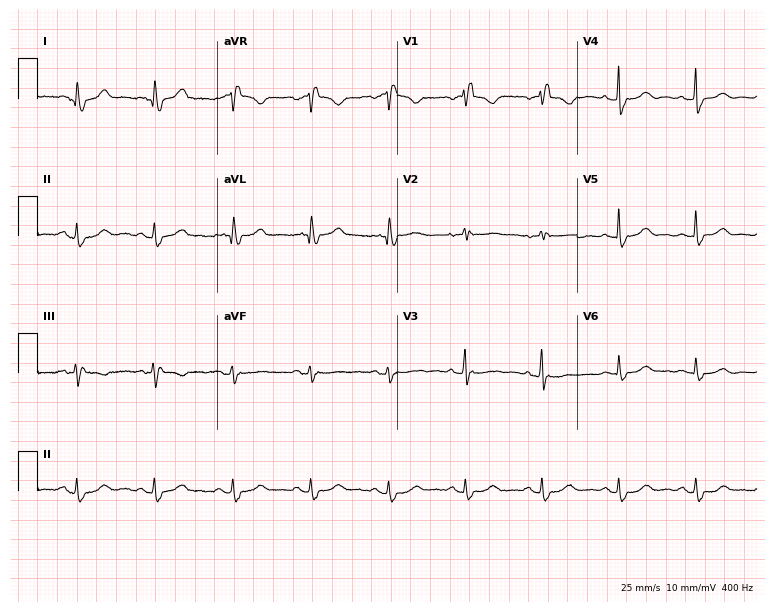
Standard 12-lead ECG recorded from a 70-year-old woman (7.3-second recording at 400 Hz). The tracing shows right bundle branch block (RBBB).